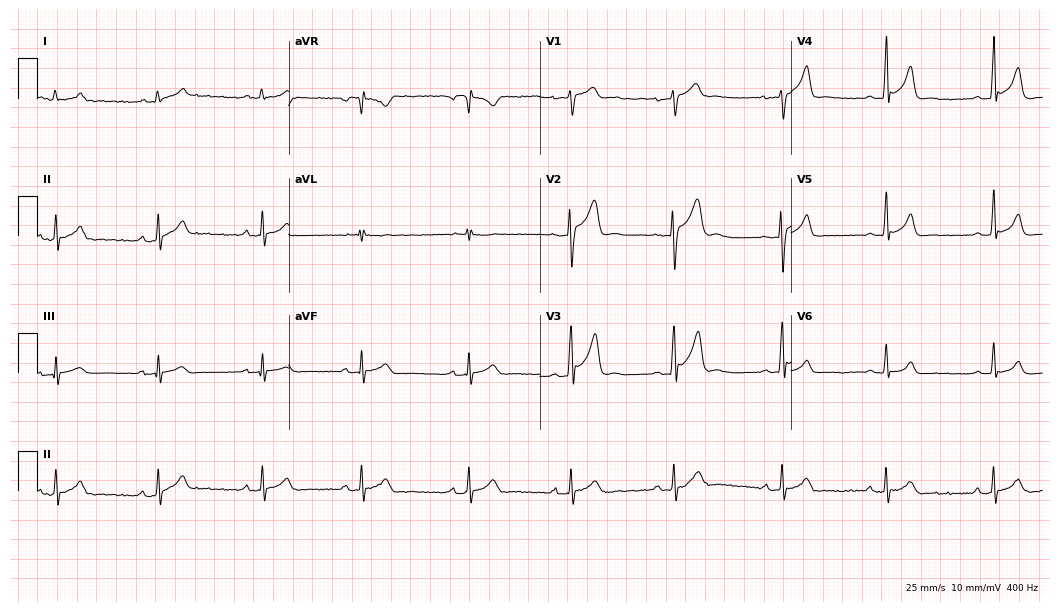
12-lead ECG from a 21-year-old male patient. Labelled as a normal ECG.